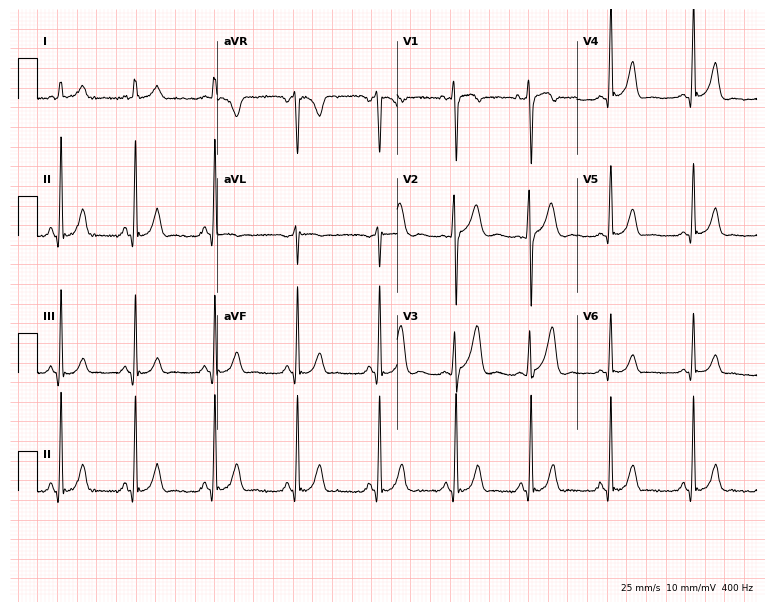
ECG — a woman, 32 years old. Screened for six findings — first-degree AV block, right bundle branch block, left bundle branch block, sinus bradycardia, atrial fibrillation, sinus tachycardia — none is recorded.